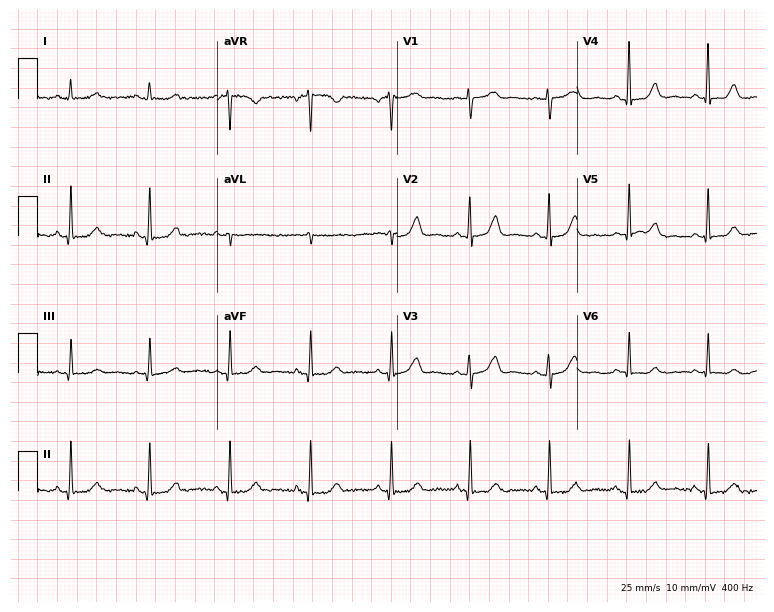
Electrocardiogram (7.3-second recording at 400 Hz), a 49-year-old female patient. Overall reading on record: normal ECG.